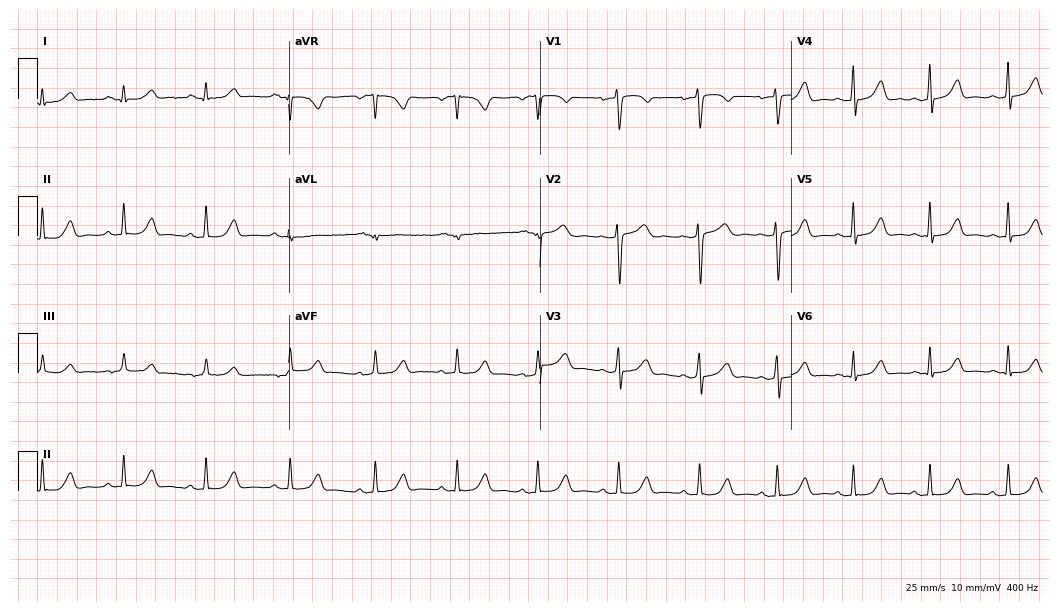
Standard 12-lead ECG recorded from a 38-year-old female (10.2-second recording at 400 Hz). Read as a normal ECG.